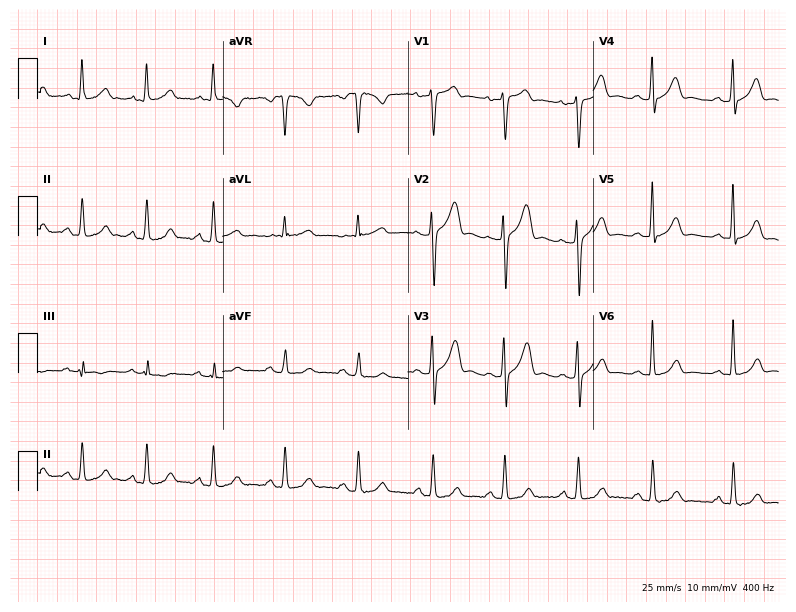
12-lead ECG from a woman, 53 years old. Labelled as a normal ECG.